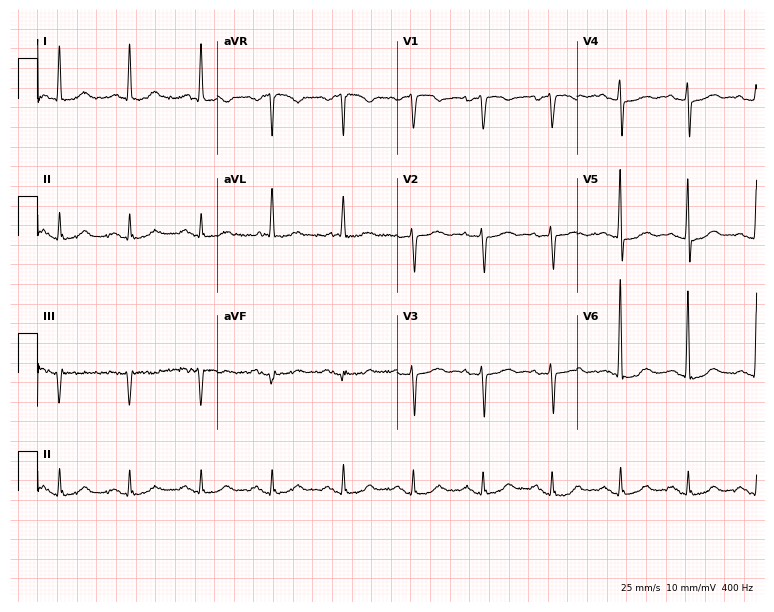
ECG (7.3-second recording at 400 Hz) — a woman, 69 years old. Screened for six findings — first-degree AV block, right bundle branch block, left bundle branch block, sinus bradycardia, atrial fibrillation, sinus tachycardia — none is recorded.